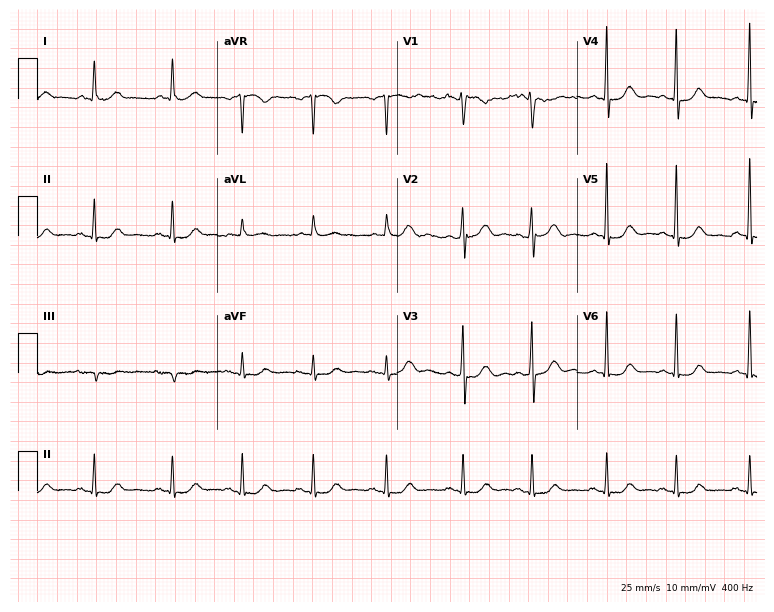
Standard 12-lead ECG recorded from an 83-year-old female patient. None of these six findings is recorded: first-degree AV block, right bundle branch block, left bundle branch block, sinus bradycardia, atrial fibrillation, sinus tachycardia. Other findings, if any, are not listed.